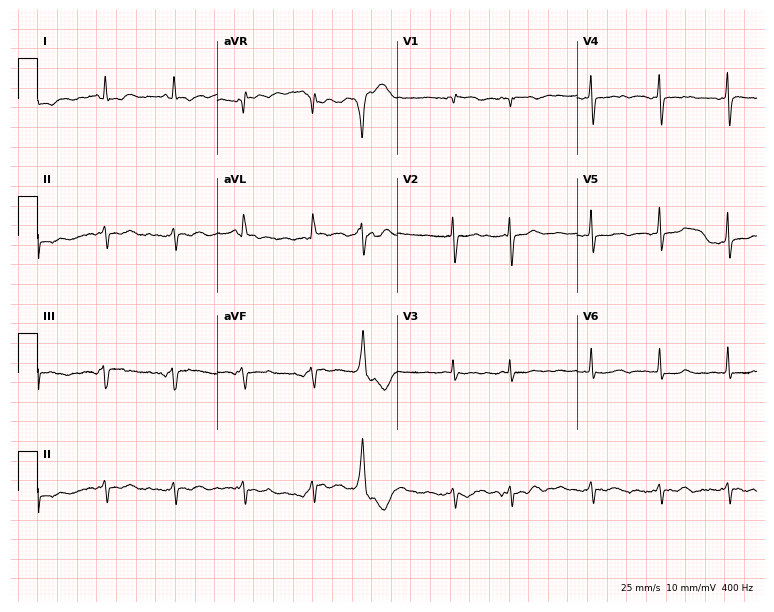
12-lead ECG (7.3-second recording at 400 Hz) from a female, 89 years old. Screened for six findings — first-degree AV block, right bundle branch block (RBBB), left bundle branch block (LBBB), sinus bradycardia, atrial fibrillation (AF), sinus tachycardia — none is recorded. Findings outside these six are not listed.